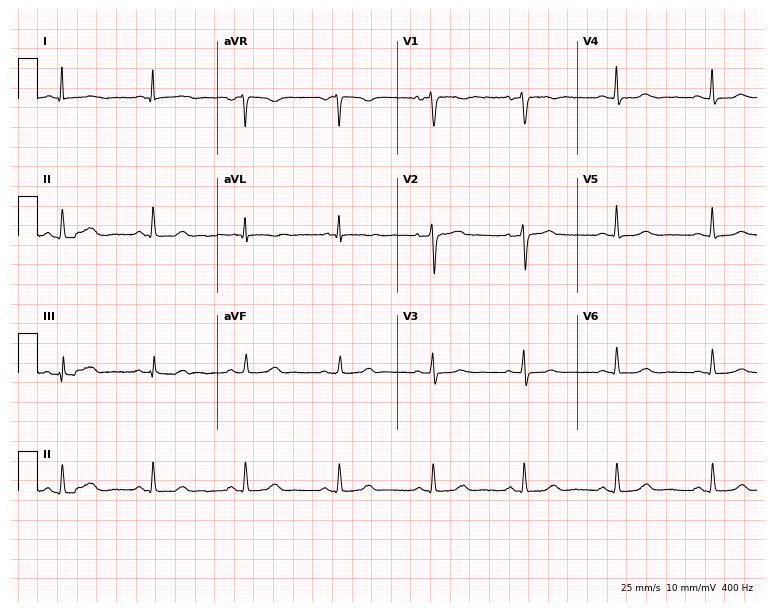
12-lead ECG from a 48-year-old female. Recorded interpretation: within normal limits.